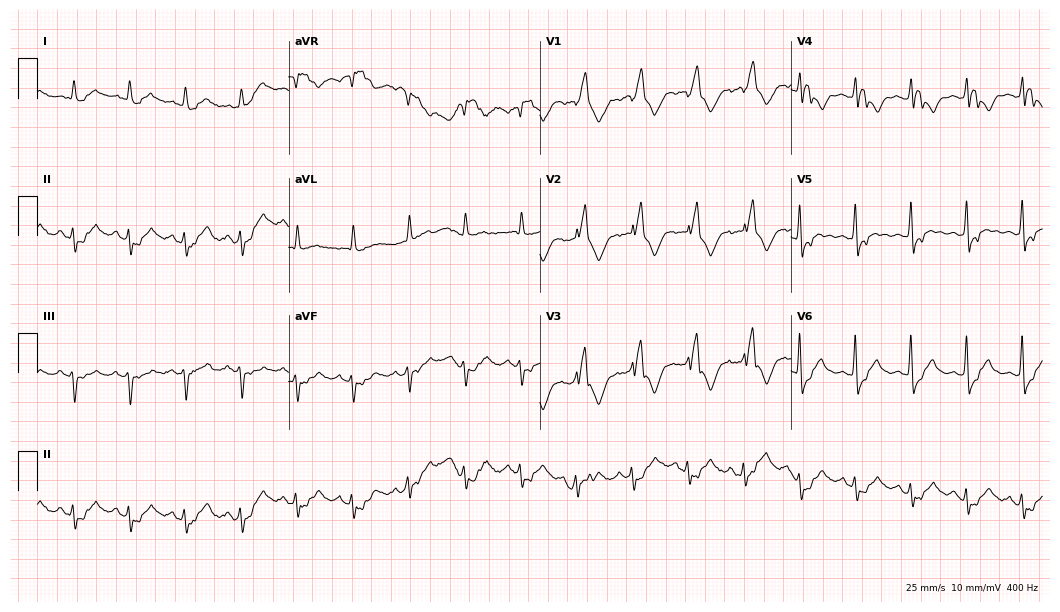
Resting 12-lead electrocardiogram (10.2-second recording at 400 Hz). Patient: a 71-year-old man. None of these six findings is recorded: first-degree AV block, right bundle branch block, left bundle branch block, sinus bradycardia, atrial fibrillation, sinus tachycardia. Only these six findings were labelled.